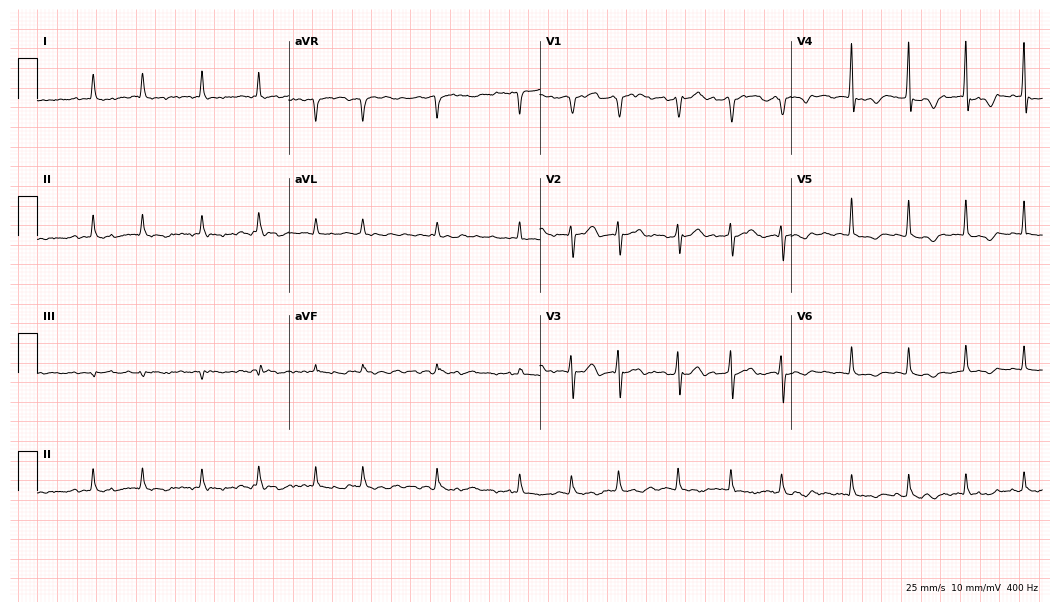
ECG (10.2-second recording at 400 Hz) — a male, 70 years old. Screened for six findings — first-degree AV block, right bundle branch block, left bundle branch block, sinus bradycardia, atrial fibrillation, sinus tachycardia — none is recorded. Other findings, if any, are not listed.